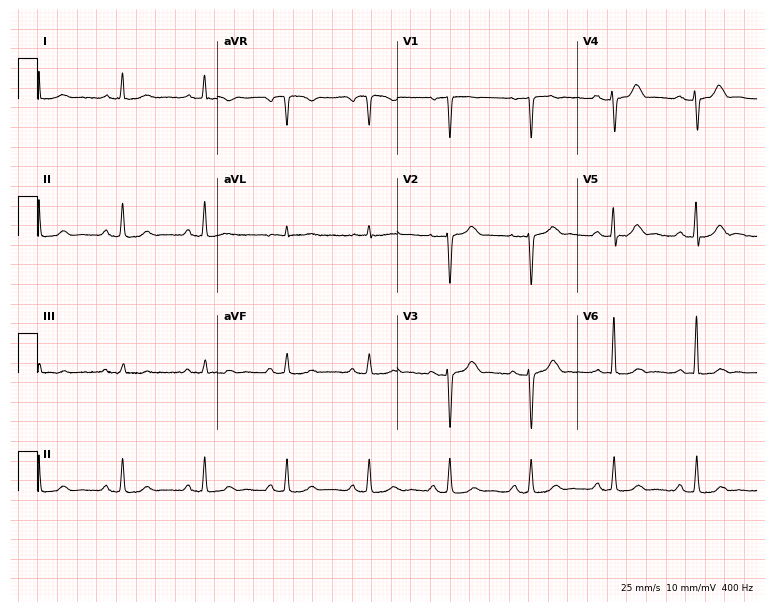
Electrocardiogram, a 60-year-old woman. Of the six screened findings (first-degree AV block, right bundle branch block, left bundle branch block, sinus bradycardia, atrial fibrillation, sinus tachycardia), none is recorded. Only these six findings were labelled.